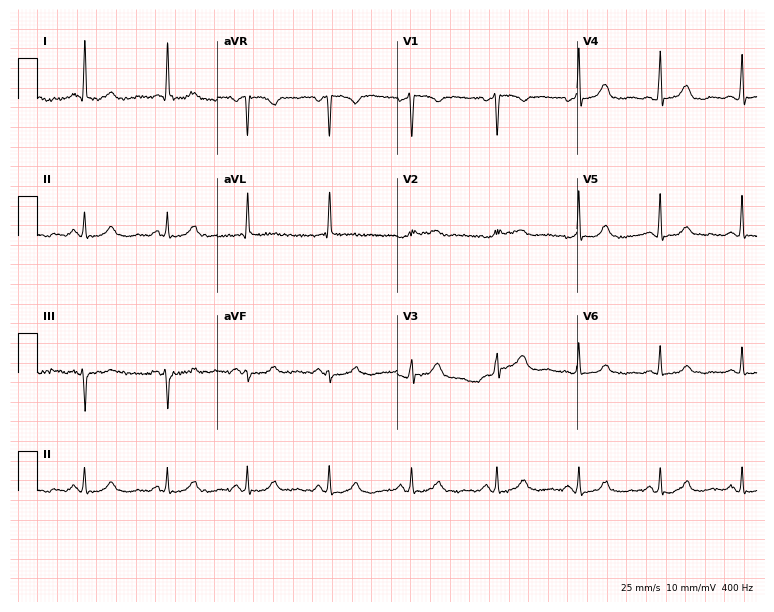
Electrocardiogram (7.3-second recording at 400 Hz), a 70-year-old woman. Of the six screened findings (first-degree AV block, right bundle branch block (RBBB), left bundle branch block (LBBB), sinus bradycardia, atrial fibrillation (AF), sinus tachycardia), none is recorded.